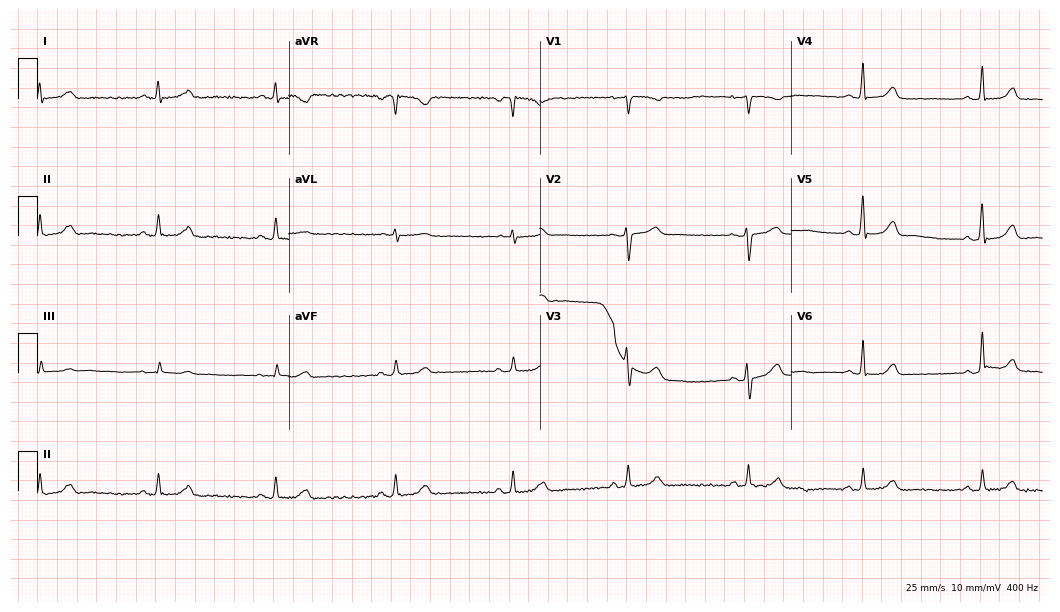
12-lead ECG from a 38-year-old female (10.2-second recording at 400 Hz). Recorded interpretation: within normal limits.